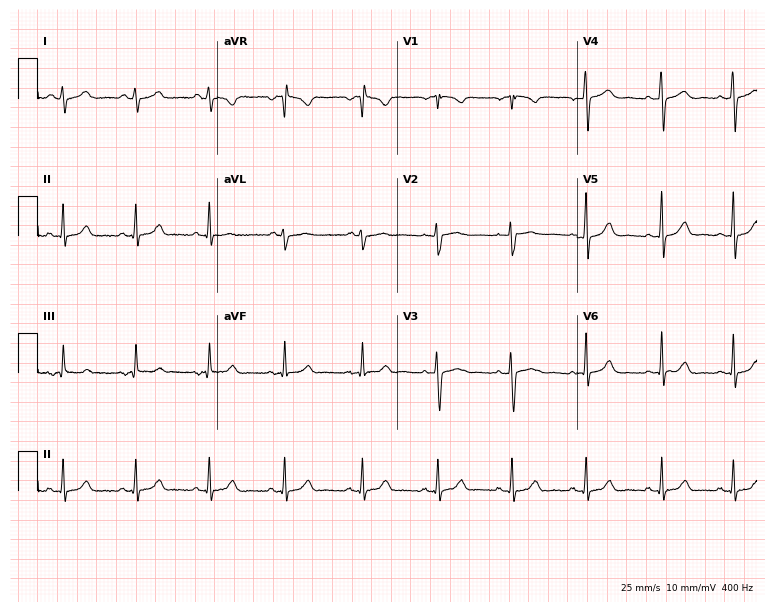
Resting 12-lead electrocardiogram. Patient: a 26-year-old female. Read as a normal ECG.